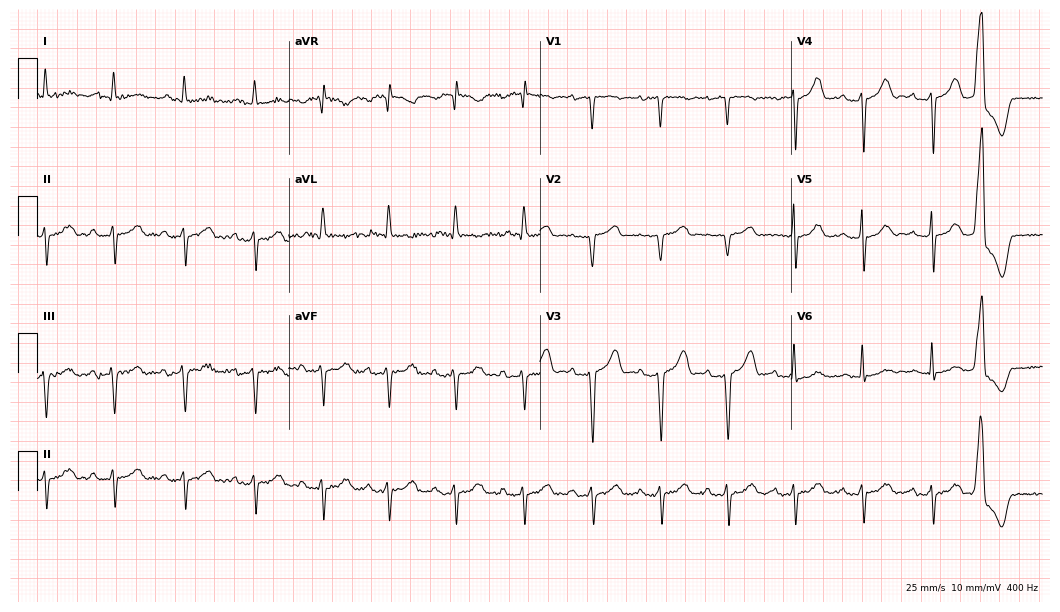
12-lead ECG (10.2-second recording at 400 Hz) from an 83-year-old female patient. Screened for six findings — first-degree AV block, right bundle branch block, left bundle branch block, sinus bradycardia, atrial fibrillation, sinus tachycardia — none is recorded.